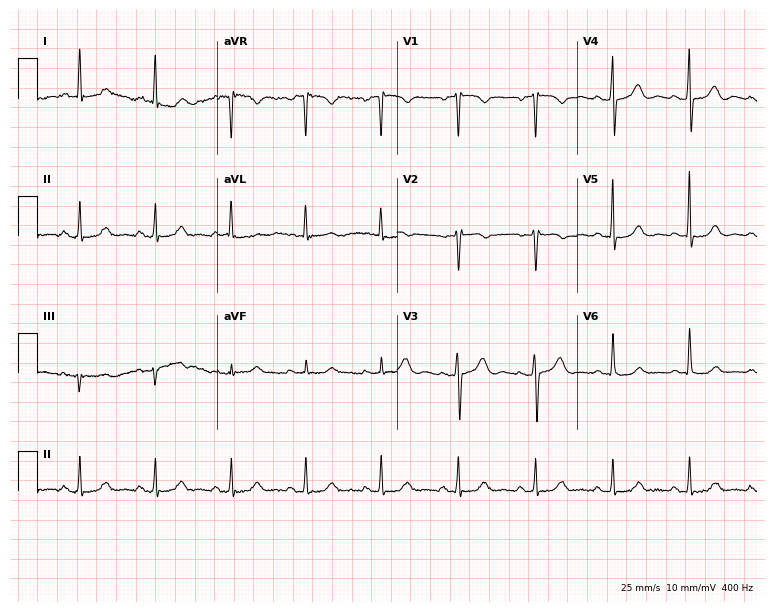
Electrocardiogram (7.3-second recording at 400 Hz), a female patient, 78 years old. Overall reading on record: normal ECG.